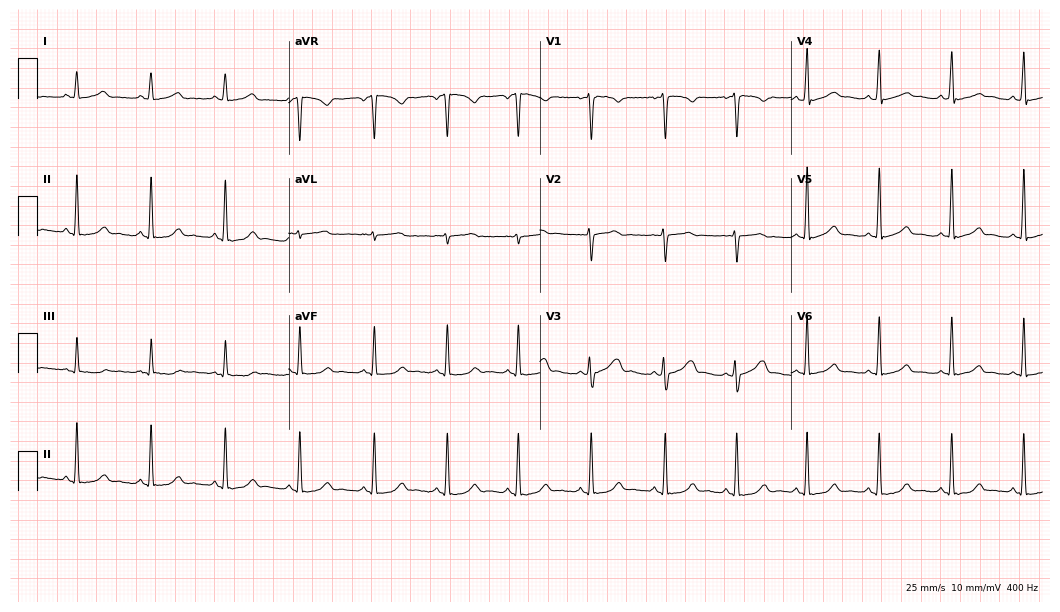
Resting 12-lead electrocardiogram. Patient: a 28-year-old female. Read as a normal ECG.